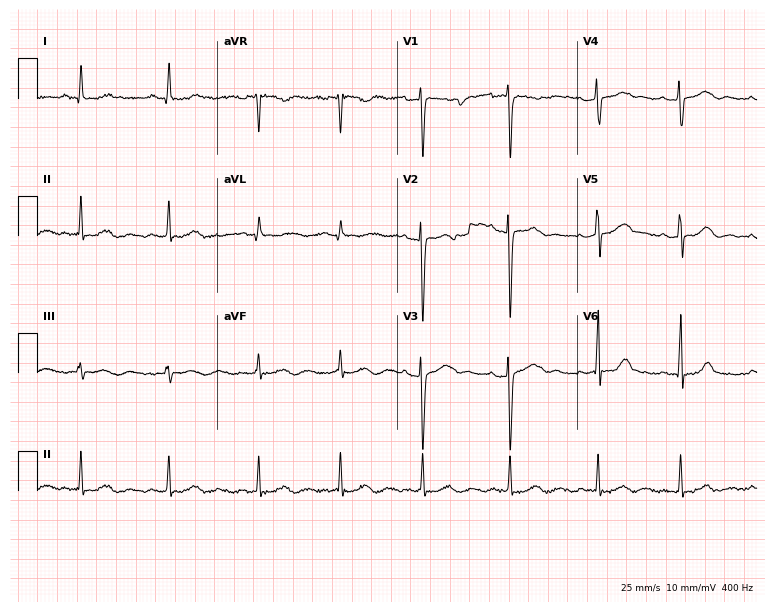
12-lead ECG from an 18-year-old woman. Labelled as a normal ECG.